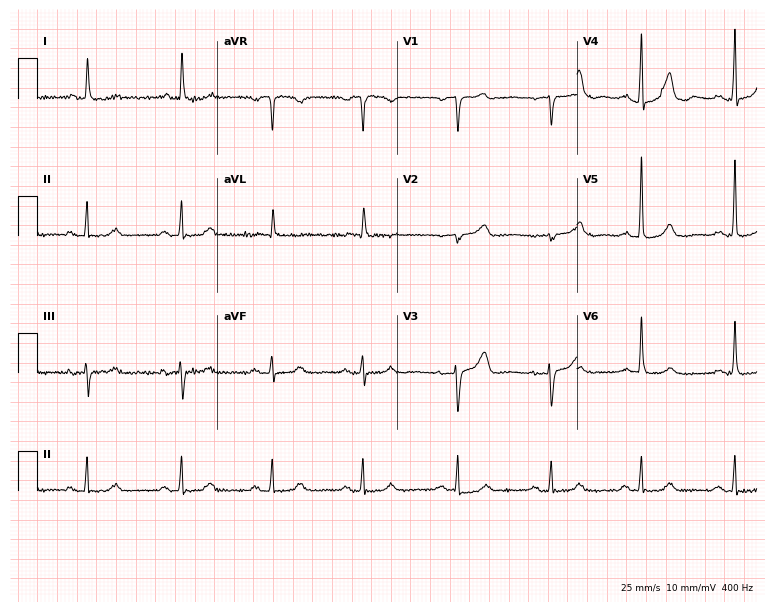
ECG (7.3-second recording at 400 Hz) — a female, 76 years old. Screened for six findings — first-degree AV block, right bundle branch block (RBBB), left bundle branch block (LBBB), sinus bradycardia, atrial fibrillation (AF), sinus tachycardia — none is recorded.